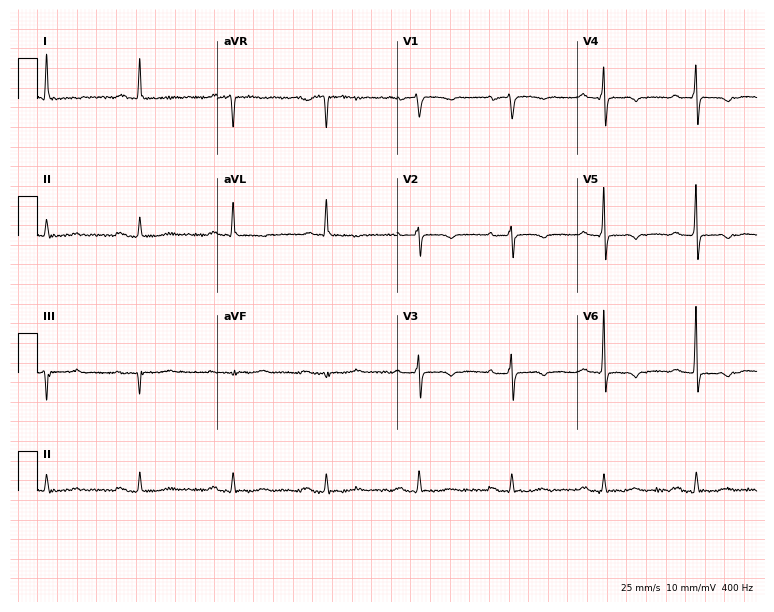
Resting 12-lead electrocardiogram (7.3-second recording at 400 Hz). Patient: a woman, 66 years old. None of these six findings is recorded: first-degree AV block, right bundle branch block, left bundle branch block, sinus bradycardia, atrial fibrillation, sinus tachycardia.